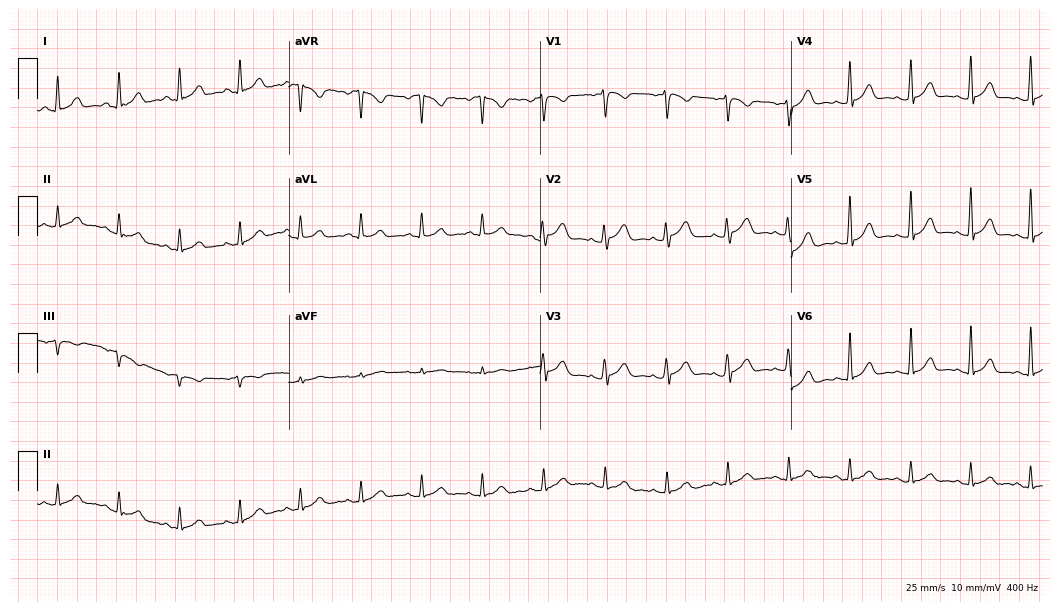
12-lead ECG from a 46-year-old female (10.2-second recording at 400 Hz). Recorded interpretation: within normal limits.